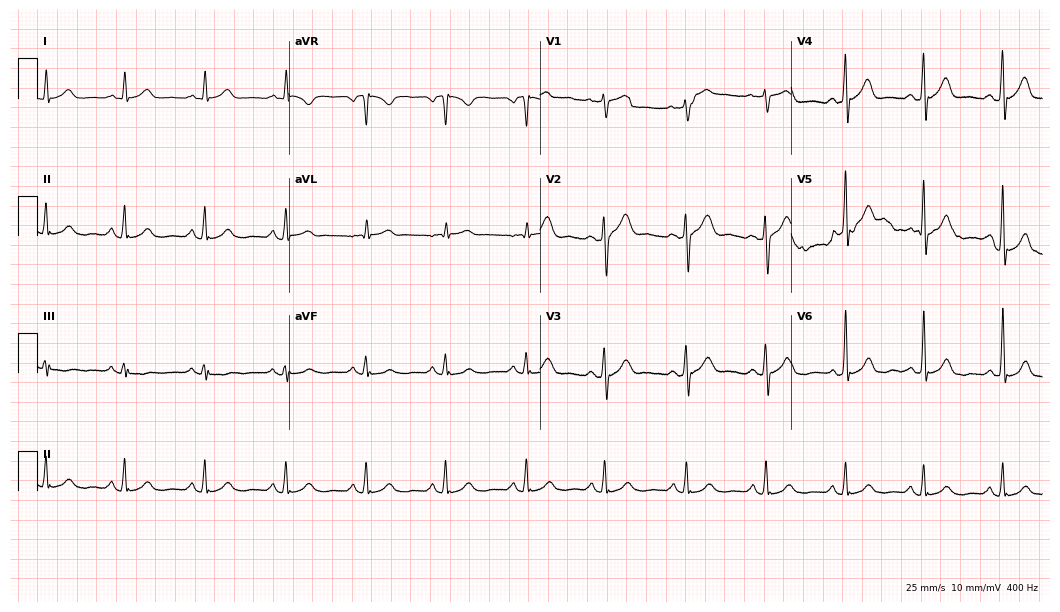
12-lead ECG from a male patient, 69 years old. Recorded interpretation: within normal limits.